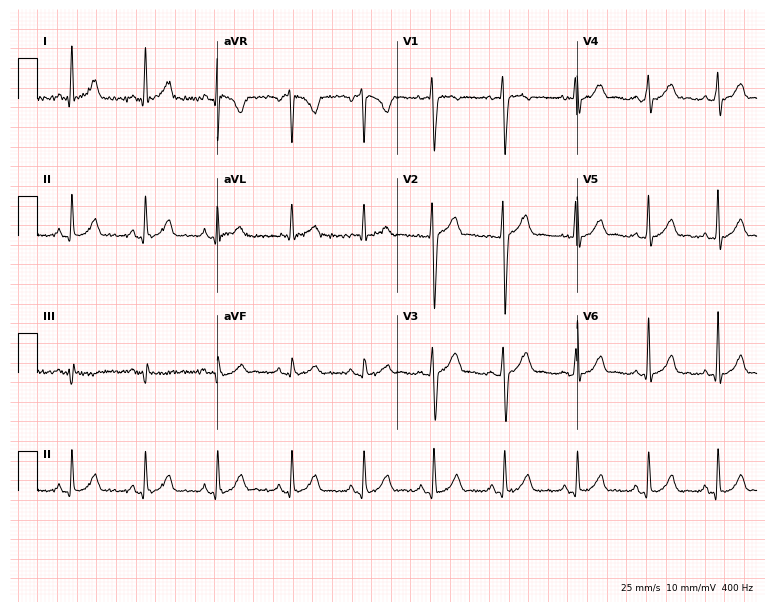
Standard 12-lead ECG recorded from a 22-year-old male (7.3-second recording at 400 Hz). Read as a normal ECG.